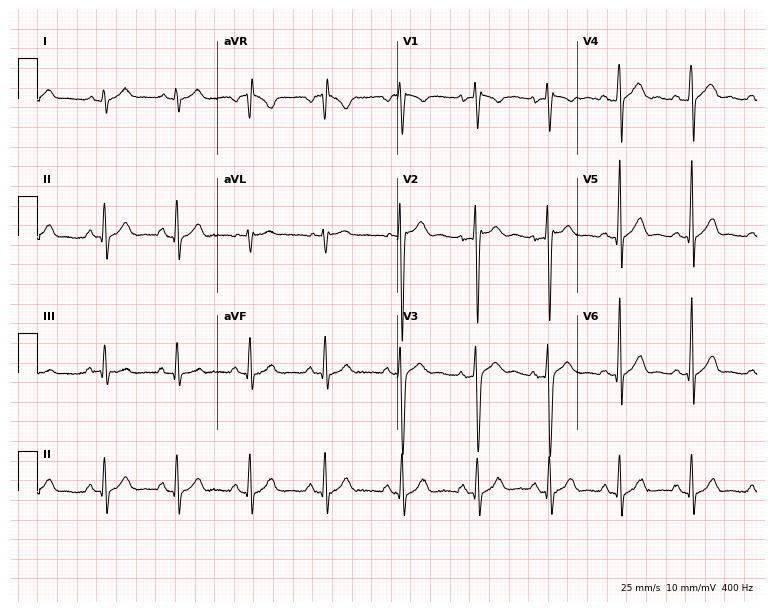
12-lead ECG from an 18-year-old male. Labelled as a normal ECG.